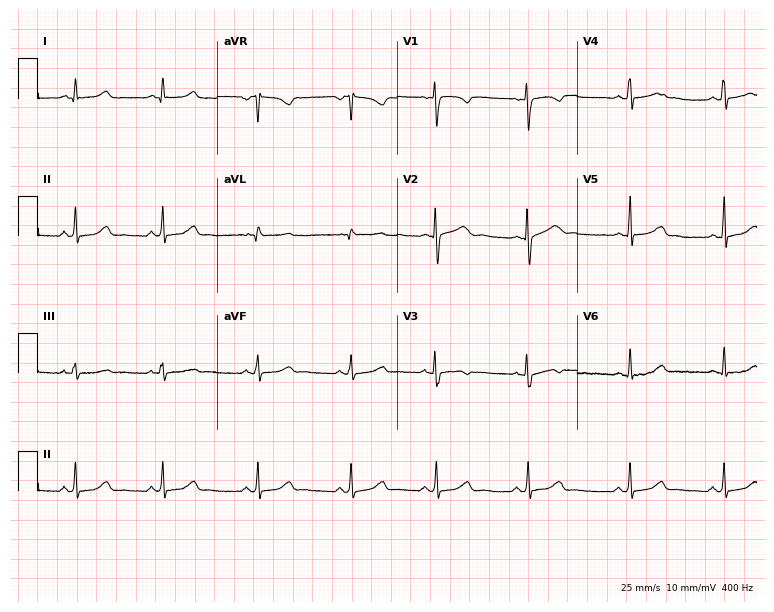
Electrocardiogram, a 24-year-old female patient. Overall reading on record: normal ECG.